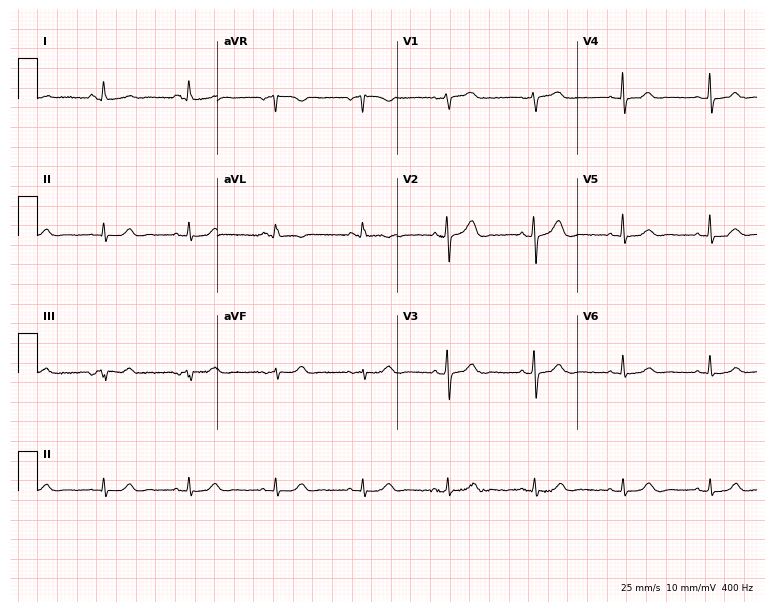
Standard 12-lead ECG recorded from a 64-year-old female. Read as a normal ECG.